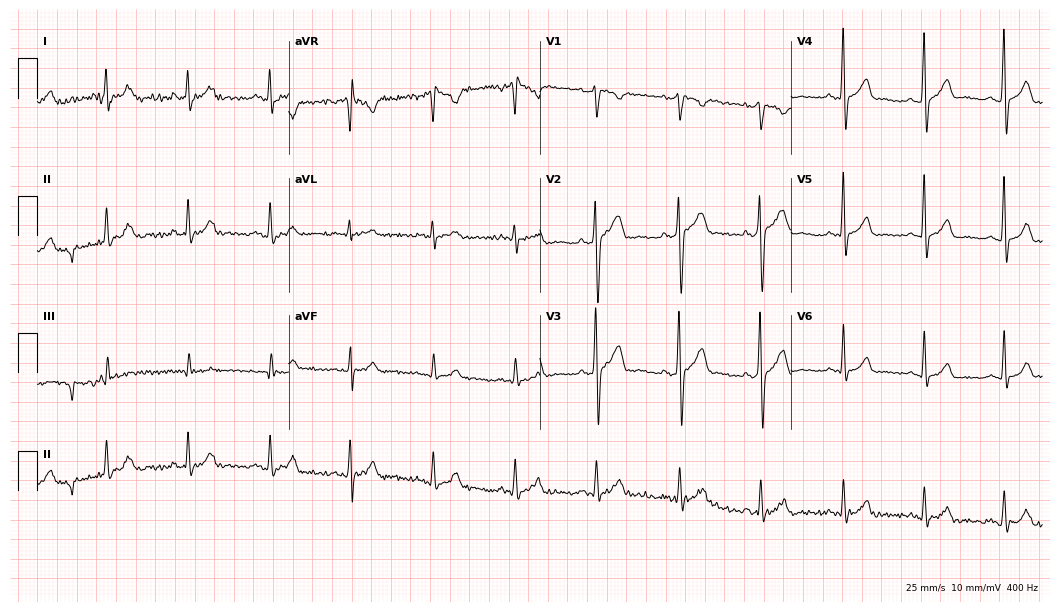
12-lead ECG from a 36-year-old male. Recorded interpretation: within normal limits.